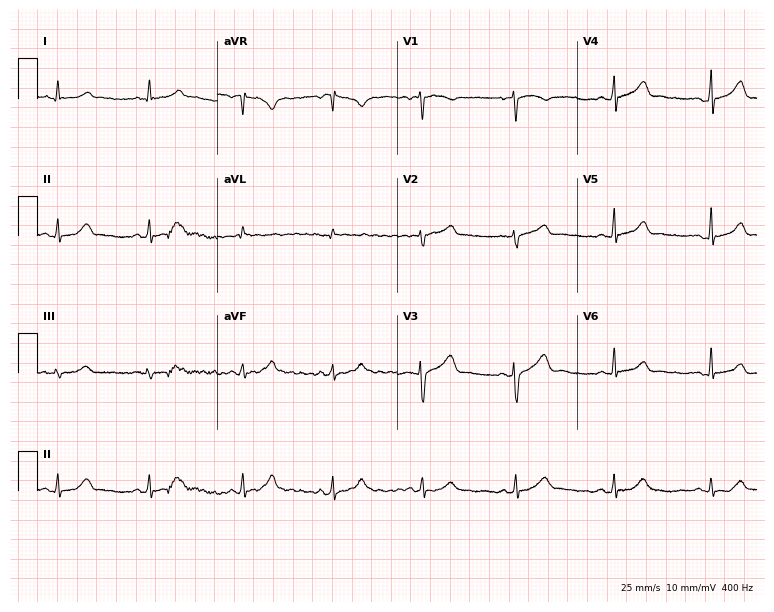
ECG — a female patient, 35 years old. Screened for six findings — first-degree AV block, right bundle branch block, left bundle branch block, sinus bradycardia, atrial fibrillation, sinus tachycardia — none is recorded. Only these six findings were labelled.